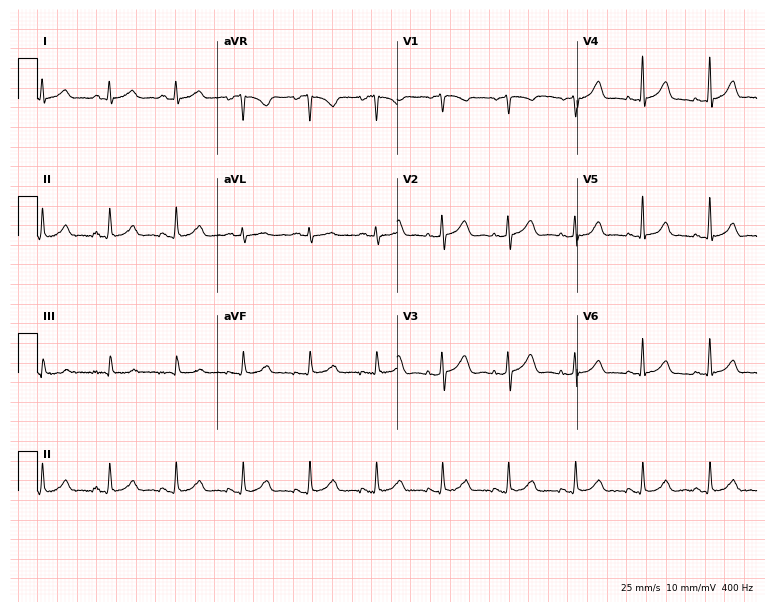
ECG (7.3-second recording at 400 Hz) — a female, 56 years old. Labelled as a normal ECG.